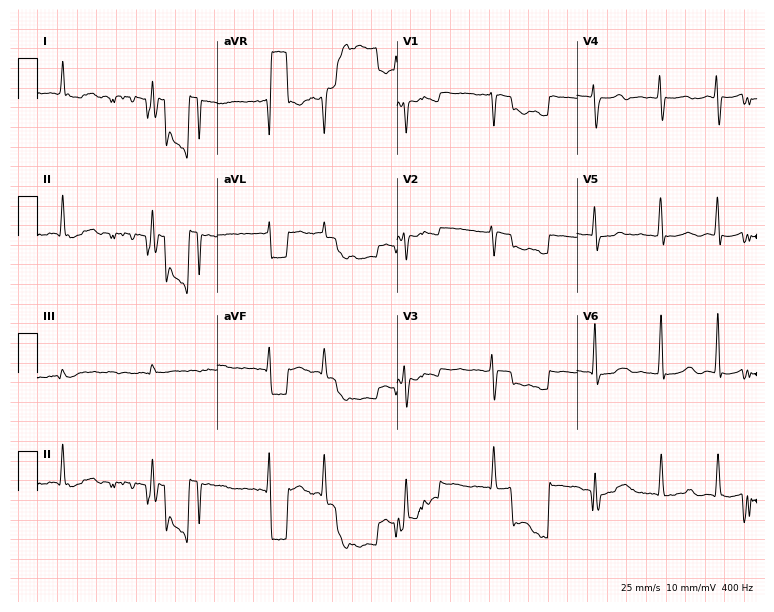
Electrocardiogram, a woman, 78 years old. Of the six screened findings (first-degree AV block, right bundle branch block (RBBB), left bundle branch block (LBBB), sinus bradycardia, atrial fibrillation (AF), sinus tachycardia), none is recorded.